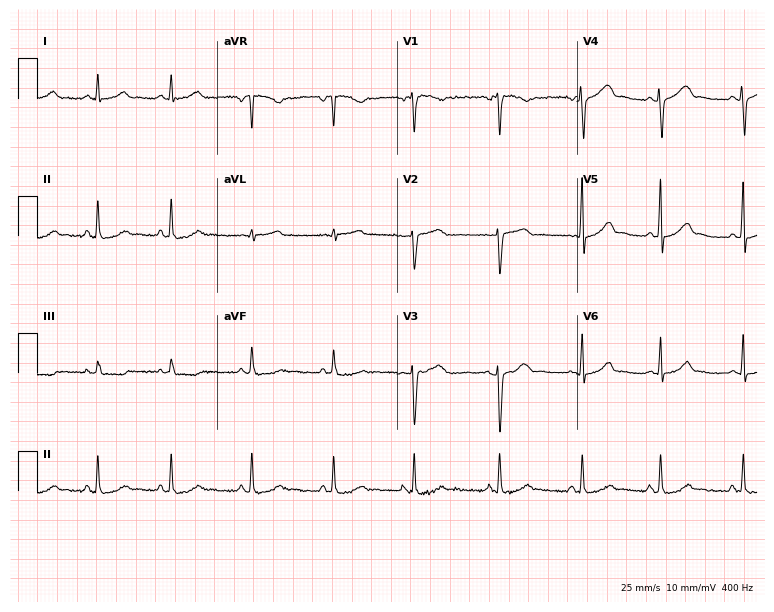
12-lead ECG (7.3-second recording at 400 Hz) from a 26-year-old female patient. Screened for six findings — first-degree AV block, right bundle branch block (RBBB), left bundle branch block (LBBB), sinus bradycardia, atrial fibrillation (AF), sinus tachycardia — none is recorded.